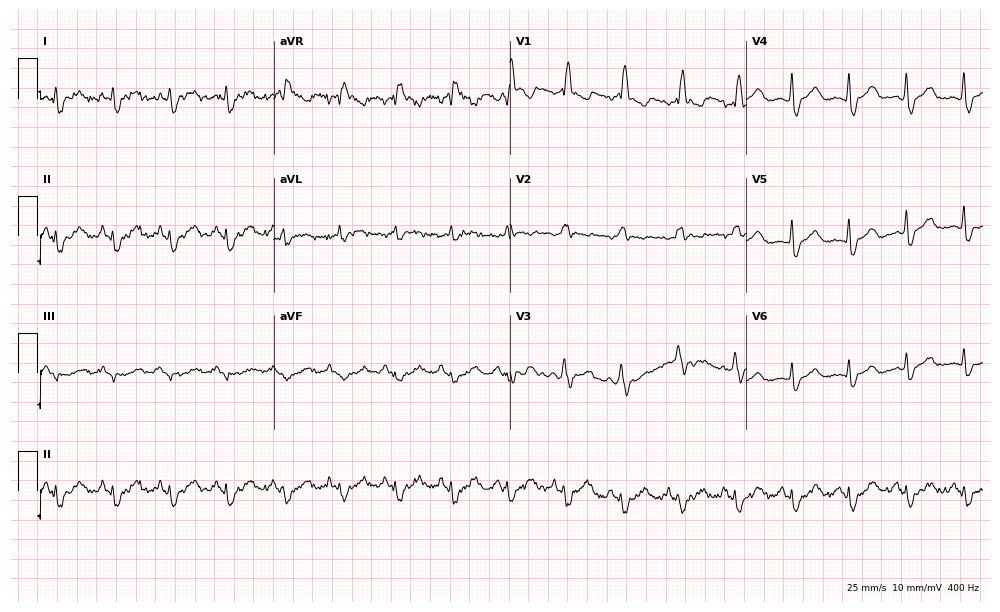
Electrocardiogram, a 70-year-old male patient. Interpretation includes right bundle branch block, sinus tachycardia (a sinus rate of 100 beats per minute or more).